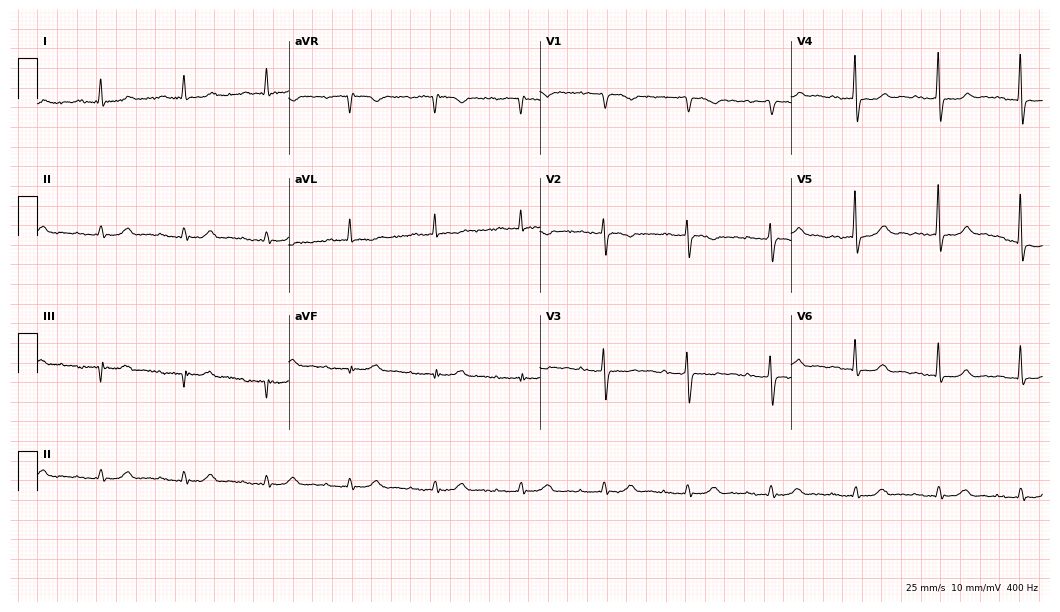
12-lead ECG from an 82-year-old male patient. No first-degree AV block, right bundle branch block, left bundle branch block, sinus bradycardia, atrial fibrillation or sinus tachycardia recorded for this tracing.